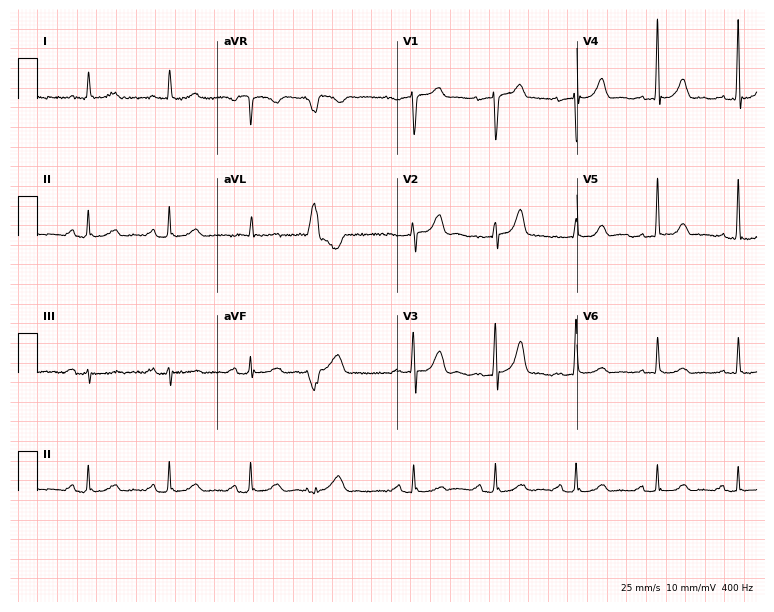
Electrocardiogram, an 80-year-old male patient. Of the six screened findings (first-degree AV block, right bundle branch block, left bundle branch block, sinus bradycardia, atrial fibrillation, sinus tachycardia), none is recorded.